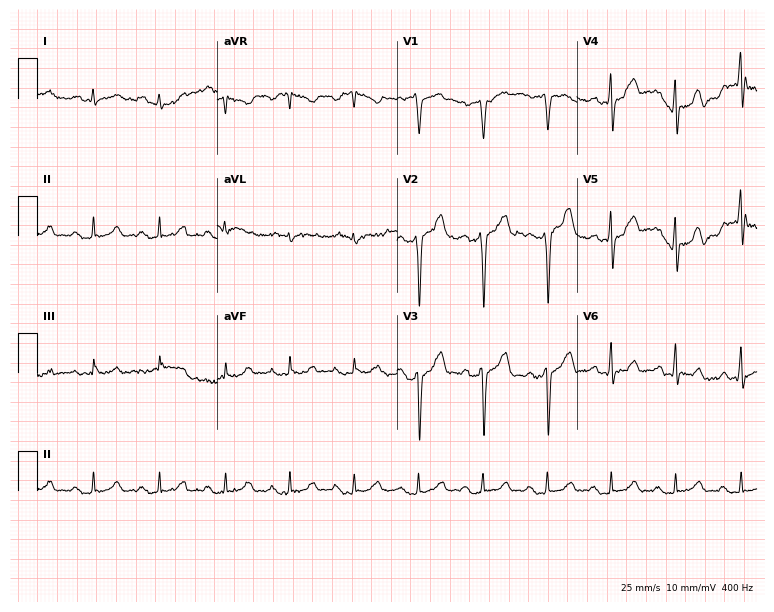
12-lead ECG (7.3-second recording at 400 Hz) from a 50-year-old man. Screened for six findings — first-degree AV block, right bundle branch block, left bundle branch block, sinus bradycardia, atrial fibrillation, sinus tachycardia — none is recorded.